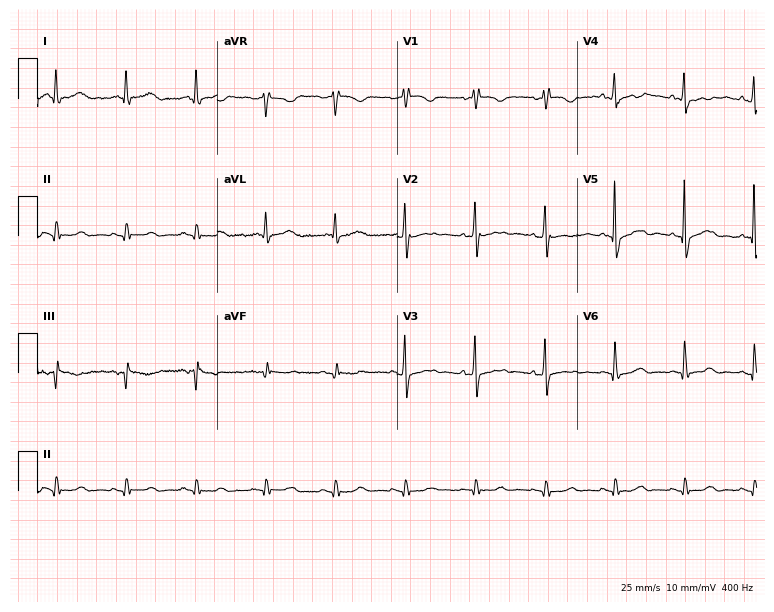
Standard 12-lead ECG recorded from a 79-year-old female patient (7.3-second recording at 400 Hz). None of these six findings is recorded: first-degree AV block, right bundle branch block, left bundle branch block, sinus bradycardia, atrial fibrillation, sinus tachycardia. Other findings, if any, are not listed.